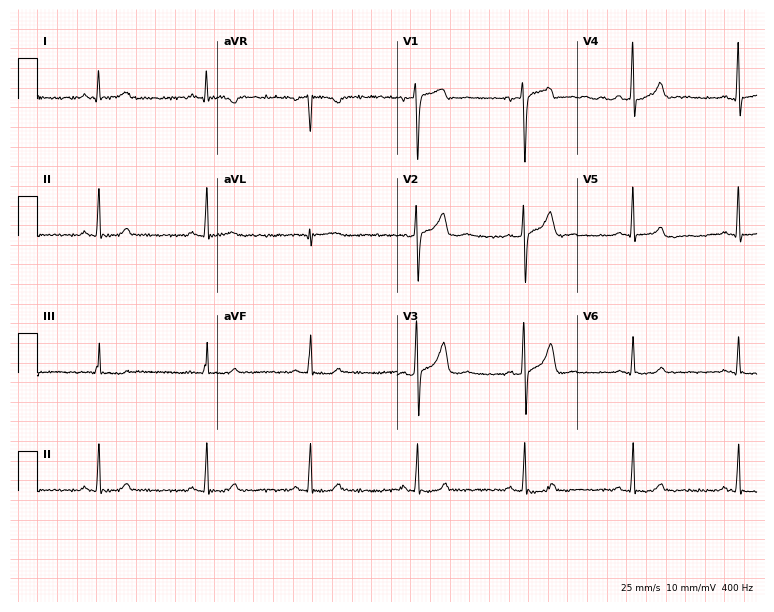
Resting 12-lead electrocardiogram. Patient: a 49-year-old male. Read as a normal ECG.